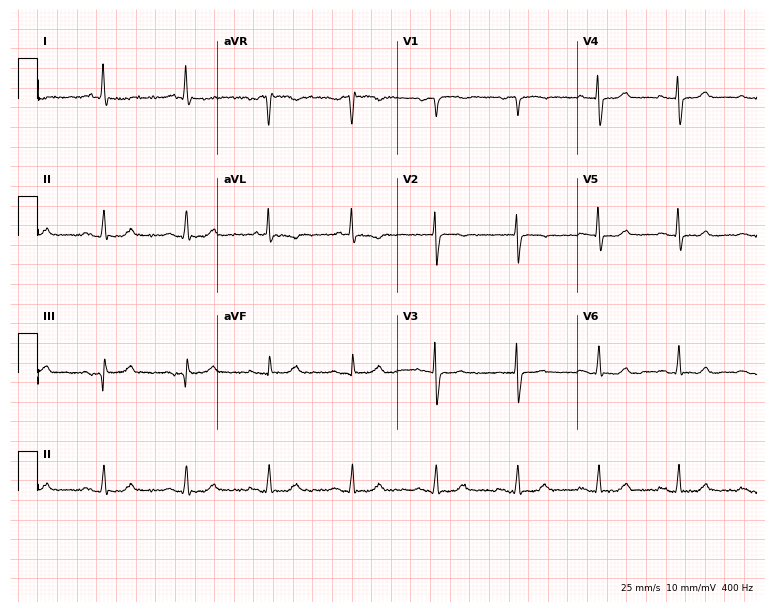
Electrocardiogram (7.3-second recording at 400 Hz), a female patient, 75 years old. Of the six screened findings (first-degree AV block, right bundle branch block, left bundle branch block, sinus bradycardia, atrial fibrillation, sinus tachycardia), none is recorded.